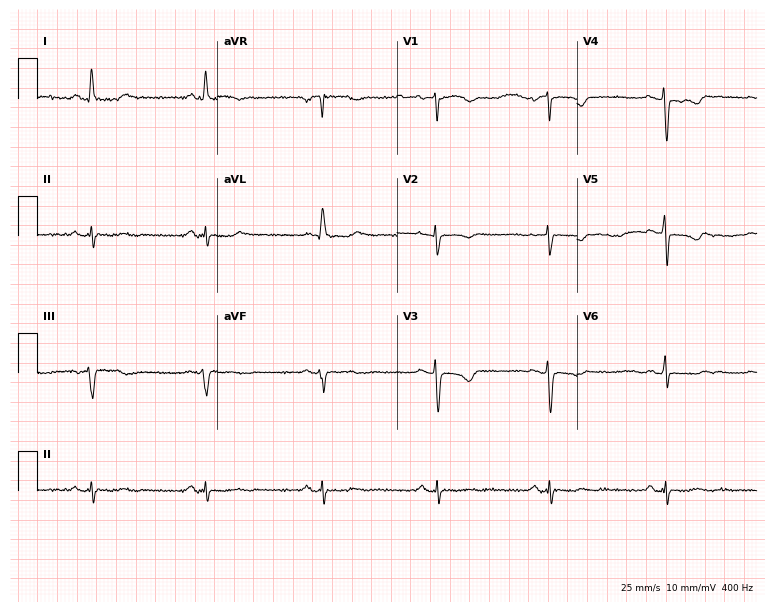
ECG (7.3-second recording at 400 Hz) — a woman, 53 years old. Screened for six findings — first-degree AV block, right bundle branch block (RBBB), left bundle branch block (LBBB), sinus bradycardia, atrial fibrillation (AF), sinus tachycardia — none is recorded. Other findings, if any, are not listed.